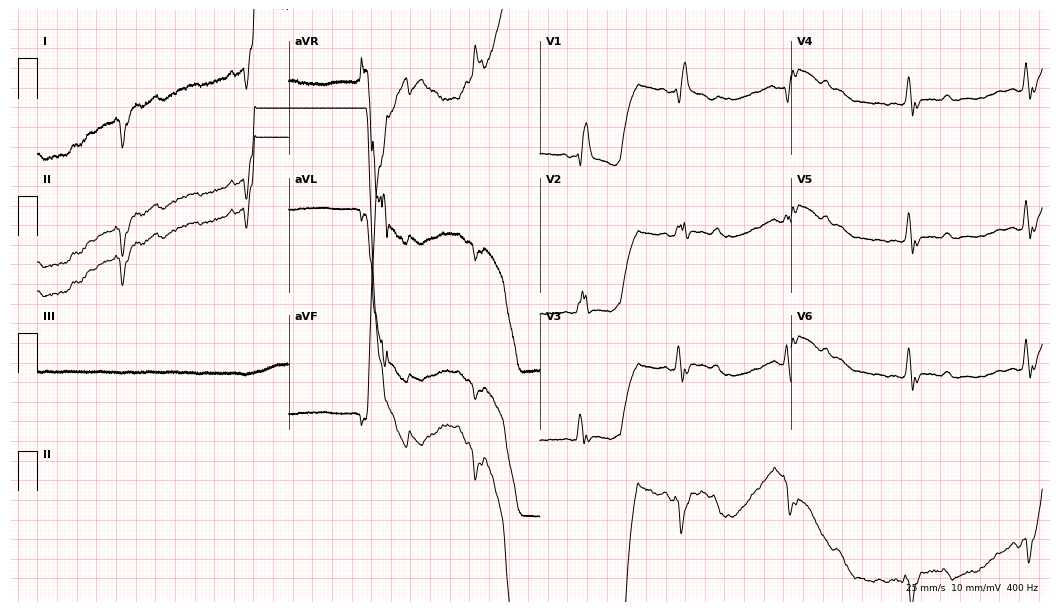
ECG (10.2-second recording at 400 Hz) — a male, 53 years old. Screened for six findings — first-degree AV block, right bundle branch block (RBBB), left bundle branch block (LBBB), sinus bradycardia, atrial fibrillation (AF), sinus tachycardia — none is recorded. Other findings, if any, are not listed.